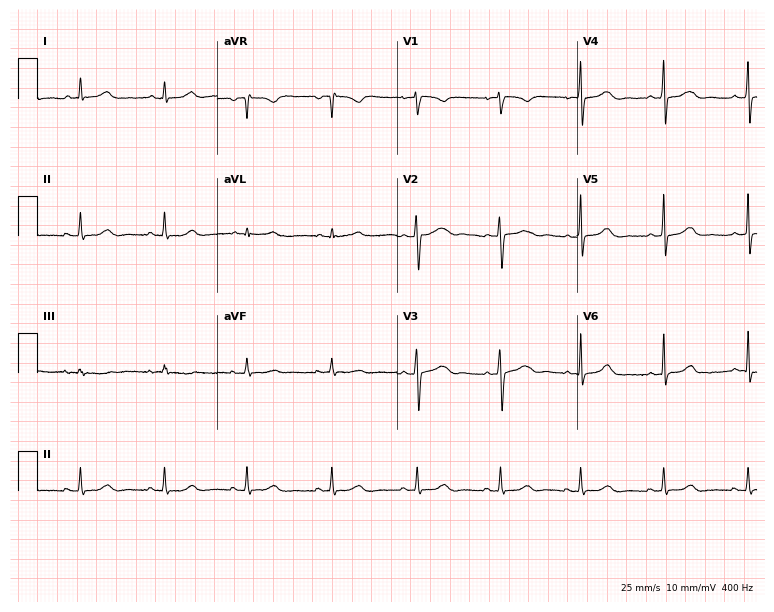
Resting 12-lead electrocardiogram. Patient: a 37-year-old female. None of these six findings is recorded: first-degree AV block, right bundle branch block (RBBB), left bundle branch block (LBBB), sinus bradycardia, atrial fibrillation (AF), sinus tachycardia. Findings outside these six are not listed.